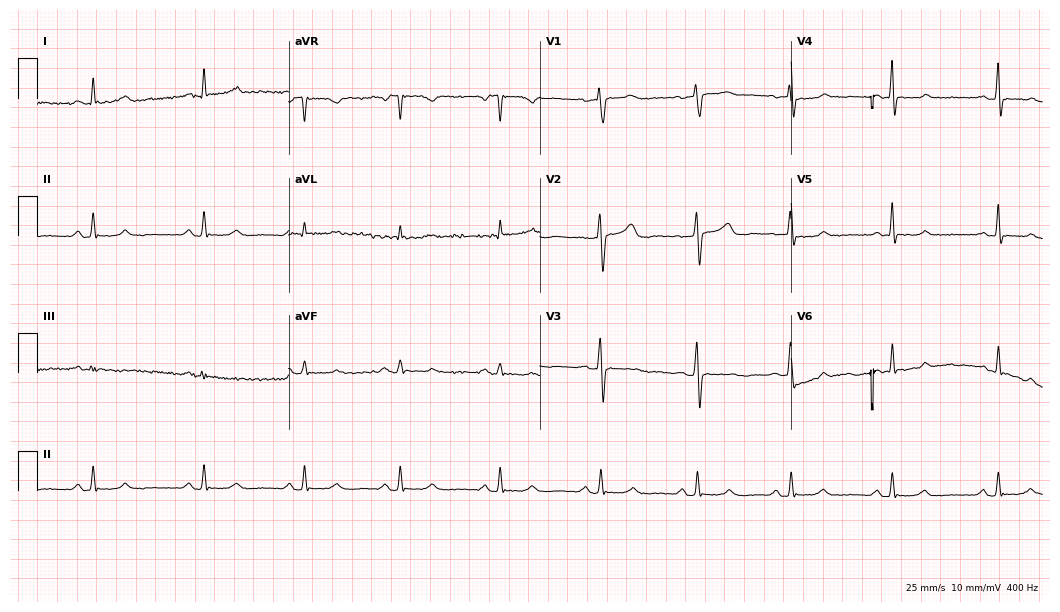
ECG (10.2-second recording at 400 Hz) — a woman, 55 years old. Labelled as a normal ECG.